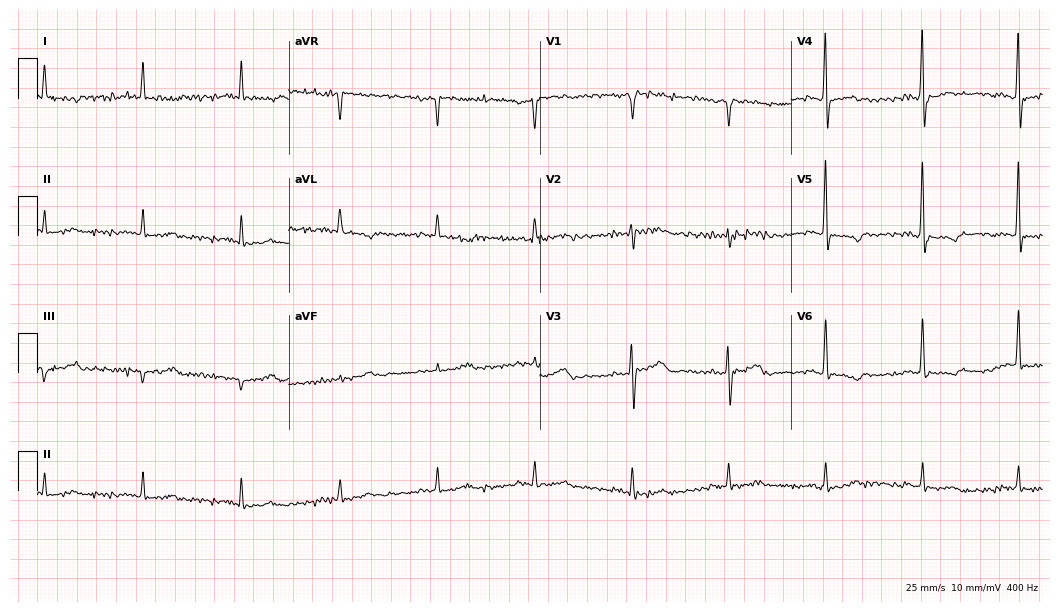
12-lead ECG from a 60-year-old man (10.2-second recording at 400 Hz). No first-degree AV block, right bundle branch block, left bundle branch block, sinus bradycardia, atrial fibrillation or sinus tachycardia recorded for this tracing. Only these six findings were labelled.